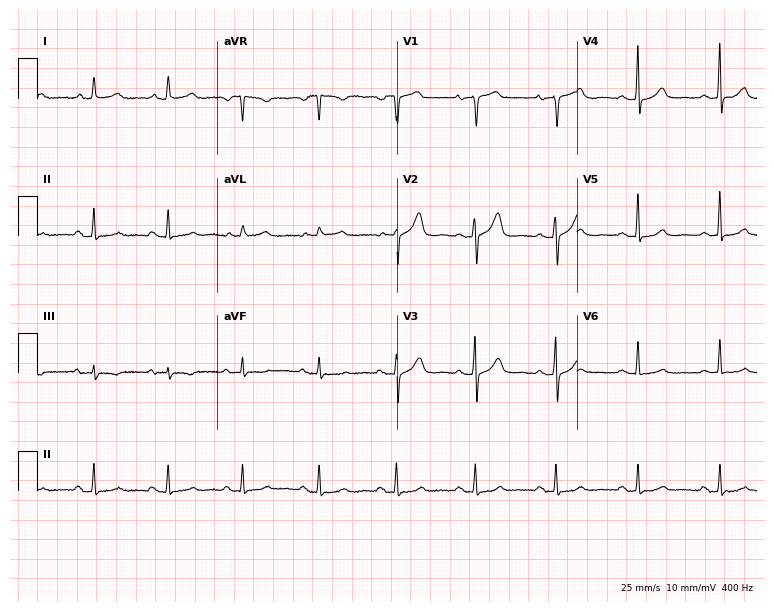
Resting 12-lead electrocardiogram (7.3-second recording at 400 Hz). Patient: a 72-year-old female. Read as a normal ECG.